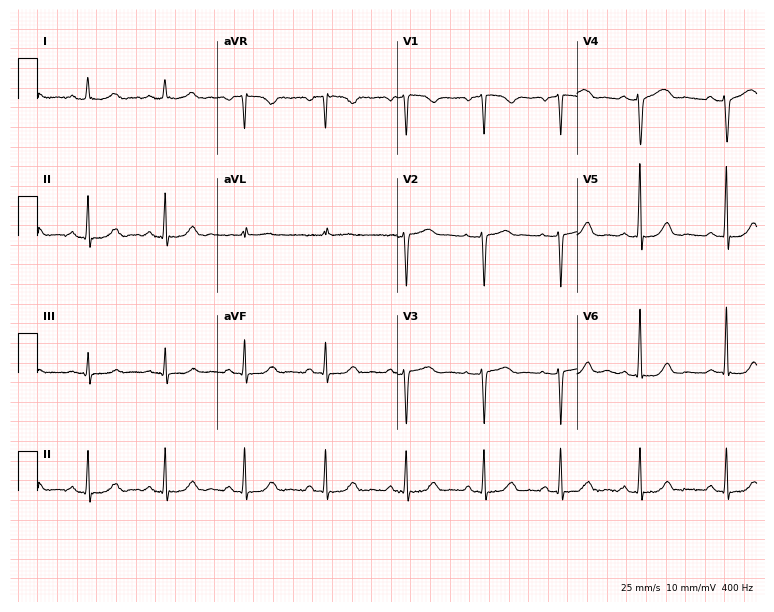
Resting 12-lead electrocardiogram (7.3-second recording at 400 Hz). Patient: a female, 47 years old. None of these six findings is recorded: first-degree AV block, right bundle branch block, left bundle branch block, sinus bradycardia, atrial fibrillation, sinus tachycardia.